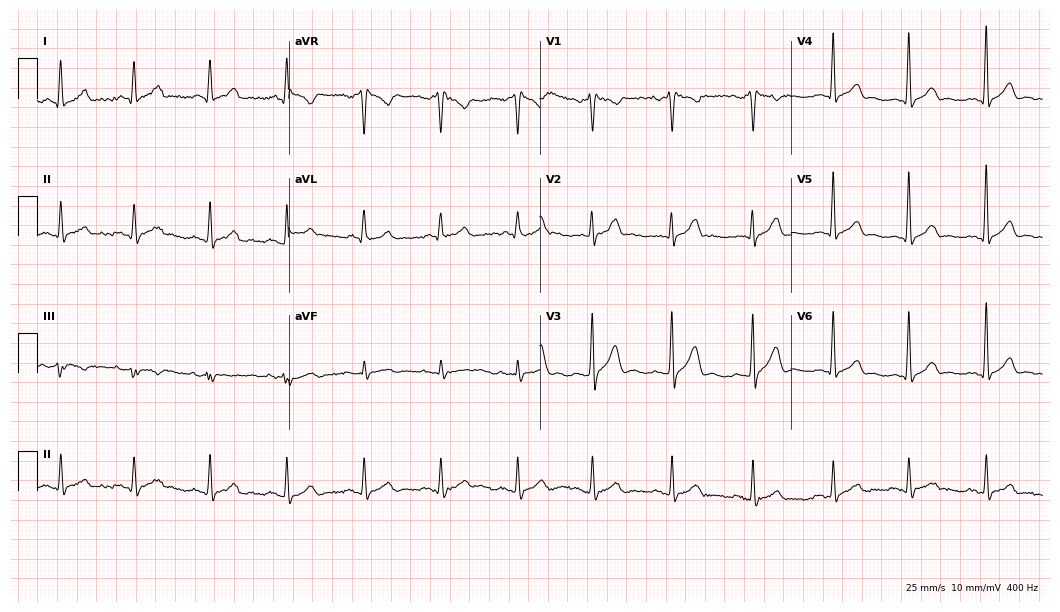
12-lead ECG from a male patient, 55 years old. No first-degree AV block, right bundle branch block (RBBB), left bundle branch block (LBBB), sinus bradycardia, atrial fibrillation (AF) or sinus tachycardia recorded for this tracing. Other findings, if any, are not listed.